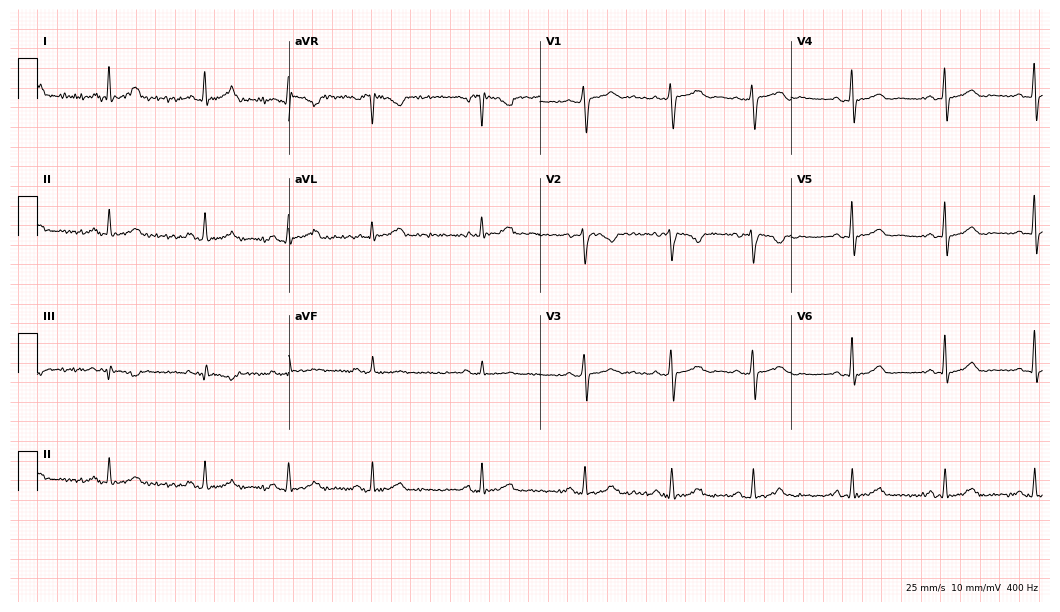
ECG (10.2-second recording at 400 Hz) — a 28-year-old female patient. Screened for six findings — first-degree AV block, right bundle branch block, left bundle branch block, sinus bradycardia, atrial fibrillation, sinus tachycardia — none is recorded.